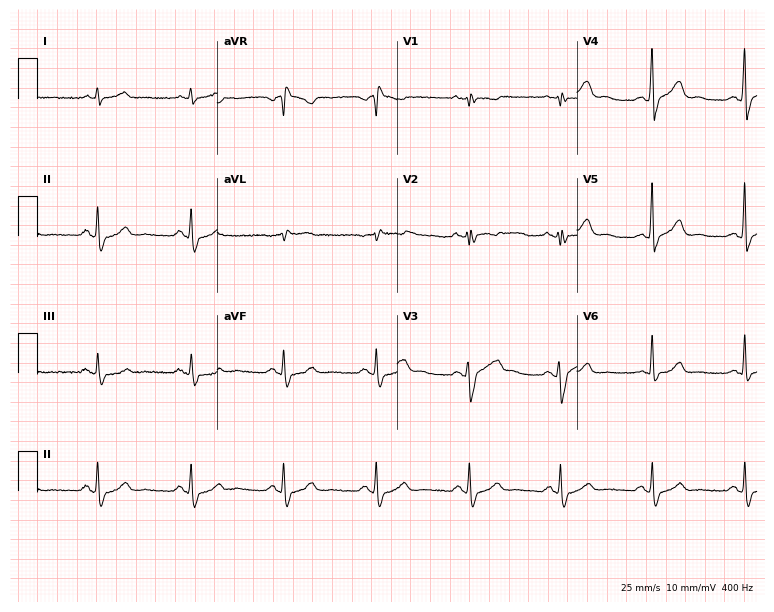
ECG — a 44-year-old man. Screened for six findings — first-degree AV block, right bundle branch block (RBBB), left bundle branch block (LBBB), sinus bradycardia, atrial fibrillation (AF), sinus tachycardia — none is recorded. Other findings, if any, are not listed.